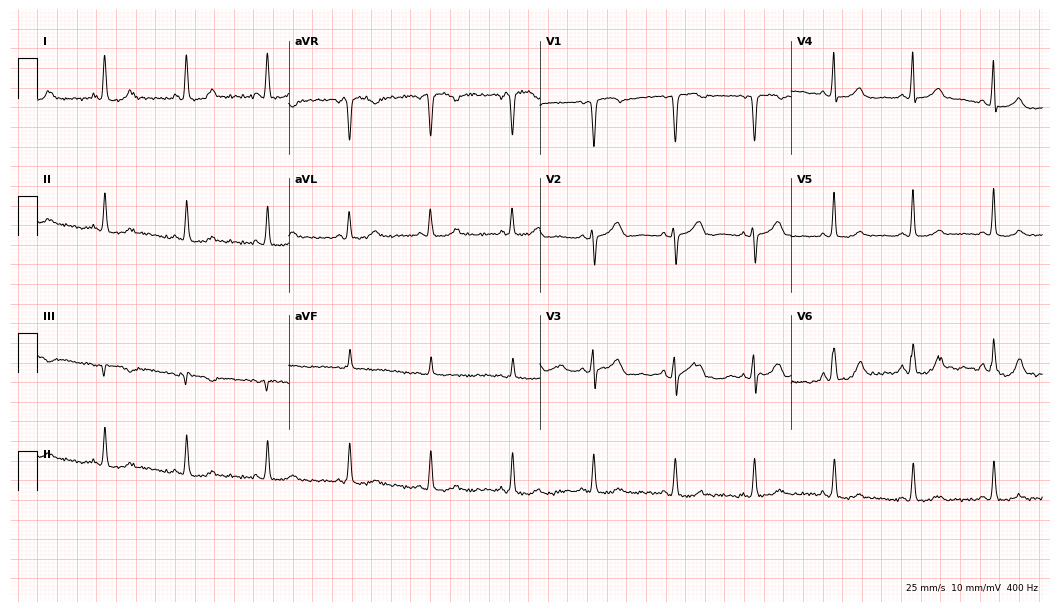
Electrocardiogram (10.2-second recording at 400 Hz), a 47-year-old female patient. Of the six screened findings (first-degree AV block, right bundle branch block (RBBB), left bundle branch block (LBBB), sinus bradycardia, atrial fibrillation (AF), sinus tachycardia), none is recorded.